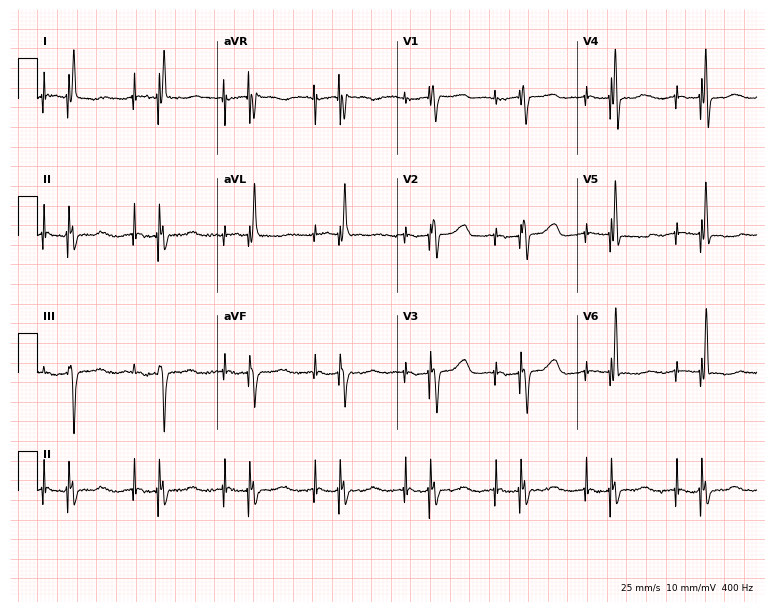
ECG (7.3-second recording at 400 Hz) — a female, 73 years old. Screened for six findings — first-degree AV block, right bundle branch block, left bundle branch block, sinus bradycardia, atrial fibrillation, sinus tachycardia — none is recorded. Only these six findings were labelled.